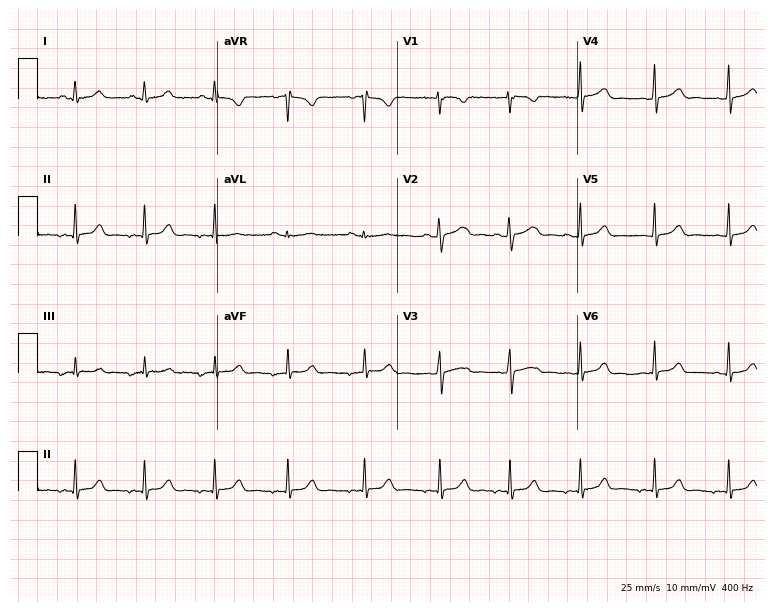
Standard 12-lead ECG recorded from a 17-year-old woman. Read as a normal ECG.